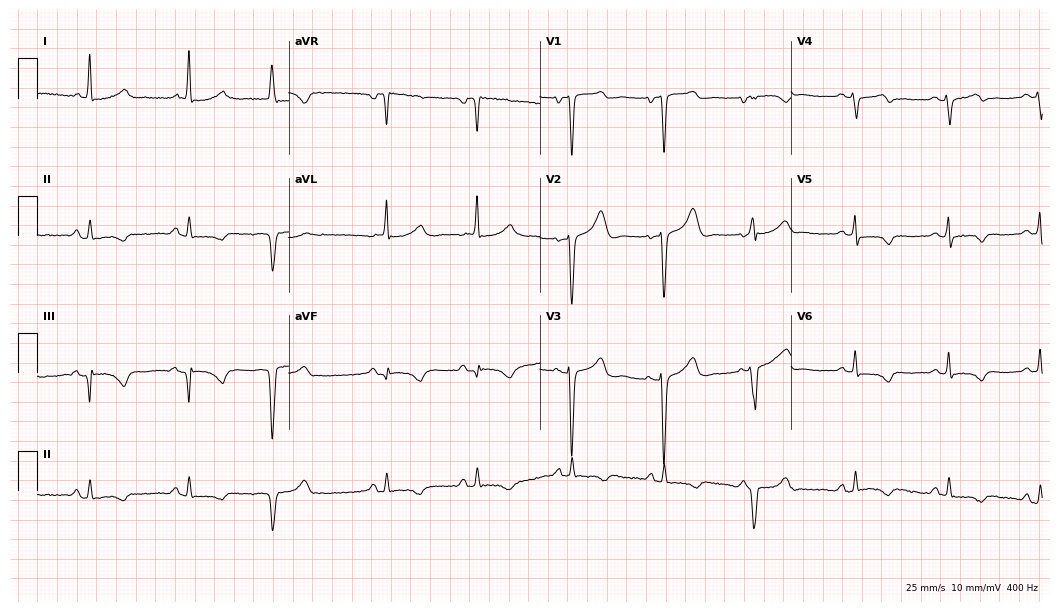
12-lead ECG from an 80-year-old man. Recorded interpretation: within normal limits.